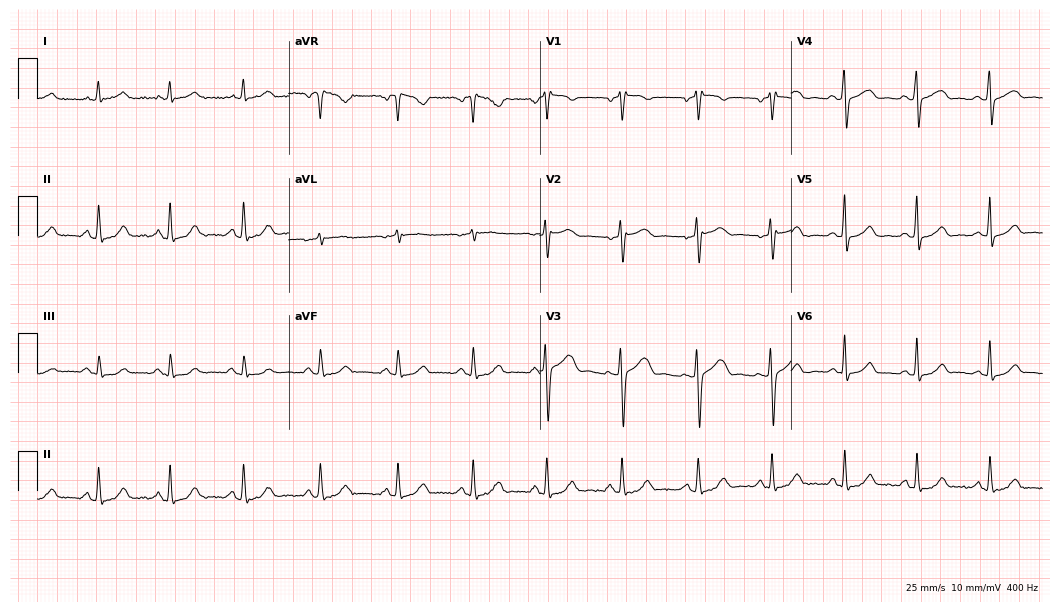
12-lead ECG from a female, 33 years old (10.2-second recording at 400 Hz). No first-degree AV block, right bundle branch block (RBBB), left bundle branch block (LBBB), sinus bradycardia, atrial fibrillation (AF) or sinus tachycardia recorded for this tracing. Other findings, if any, are not listed.